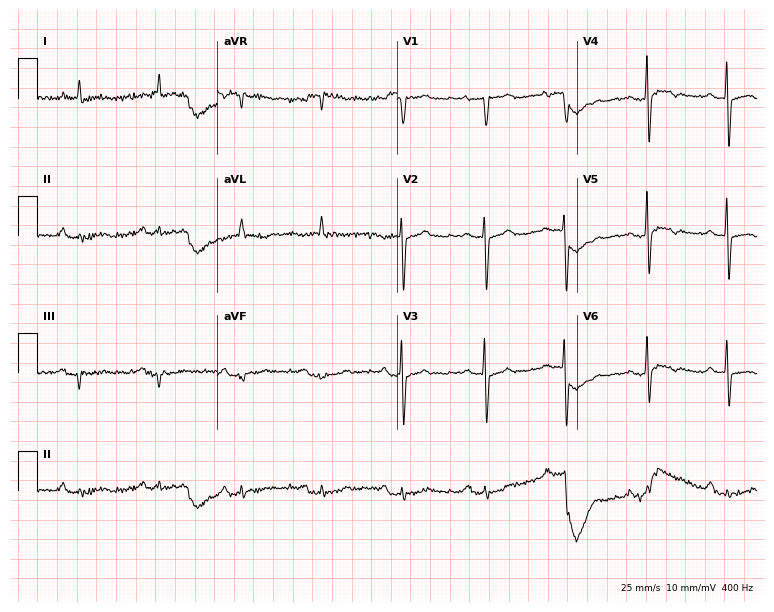
Electrocardiogram (7.3-second recording at 400 Hz), a woman, 72 years old. Of the six screened findings (first-degree AV block, right bundle branch block, left bundle branch block, sinus bradycardia, atrial fibrillation, sinus tachycardia), none is recorded.